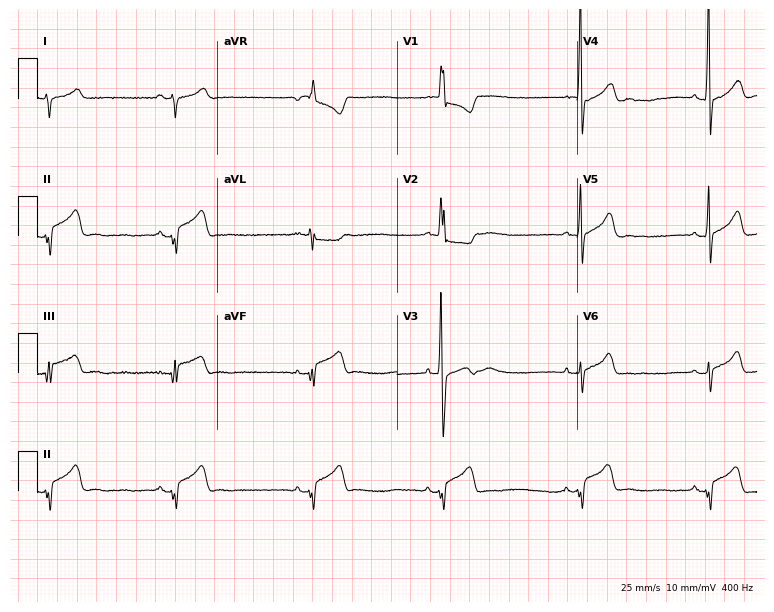
ECG — a male patient, 17 years old. Screened for six findings — first-degree AV block, right bundle branch block, left bundle branch block, sinus bradycardia, atrial fibrillation, sinus tachycardia — none is recorded. Other findings, if any, are not listed.